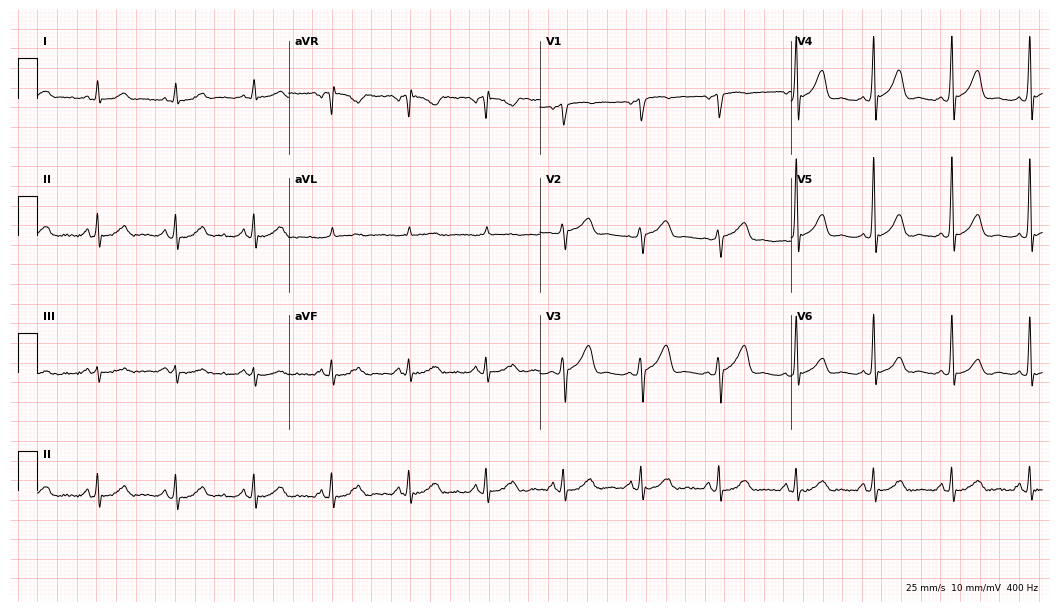
ECG (10.2-second recording at 400 Hz) — a 51-year-old man. Labelled as a normal ECG.